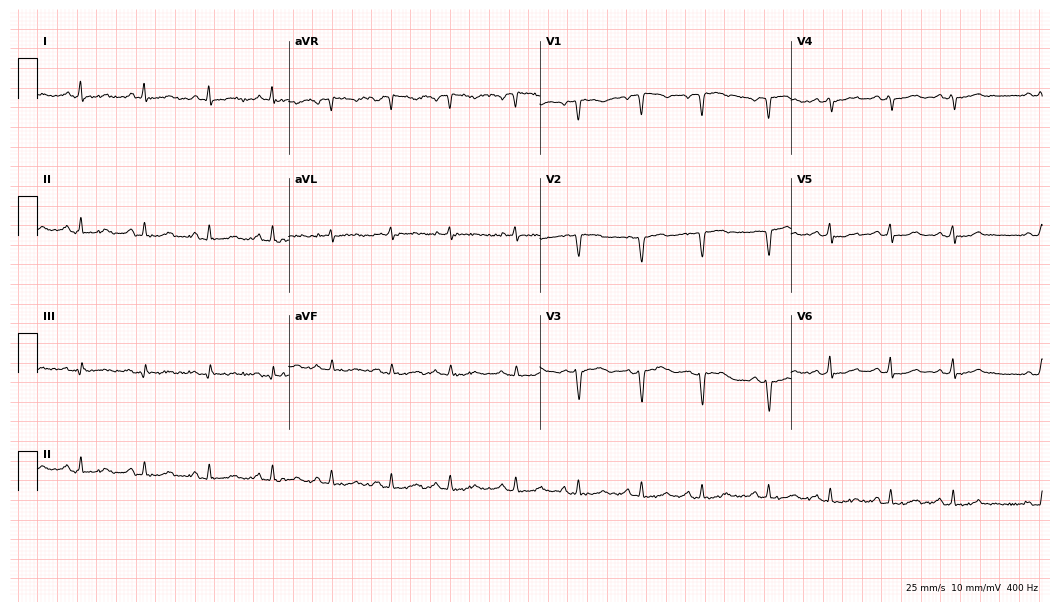
12-lead ECG (10.2-second recording at 400 Hz) from a 40-year-old woman. Screened for six findings — first-degree AV block, right bundle branch block, left bundle branch block, sinus bradycardia, atrial fibrillation, sinus tachycardia — none is recorded.